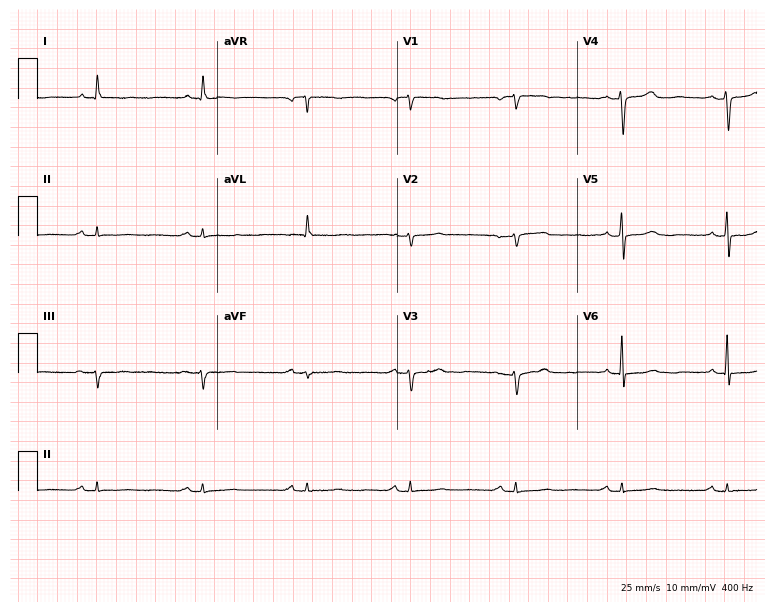
12-lead ECG from a woman, 85 years old (7.3-second recording at 400 Hz). No first-degree AV block, right bundle branch block (RBBB), left bundle branch block (LBBB), sinus bradycardia, atrial fibrillation (AF) or sinus tachycardia recorded for this tracing. Findings outside these six are not listed.